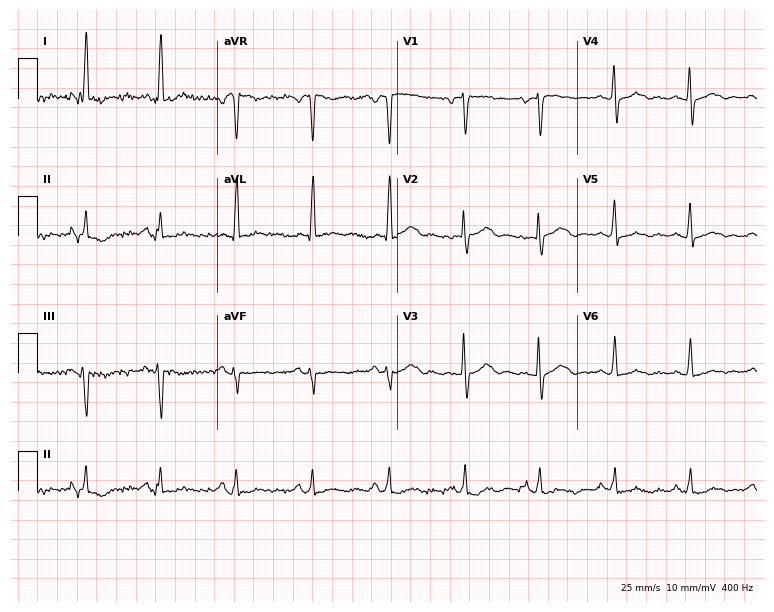
Standard 12-lead ECG recorded from a 68-year-old female patient (7.3-second recording at 400 Hz). None of these six findings is recorded: first-degree AV block, right bundle branch block, left bundle branch block, sinus bradycardia, atrial fibrillation, sinus tachycardia. Other findings, if any, are not listed.